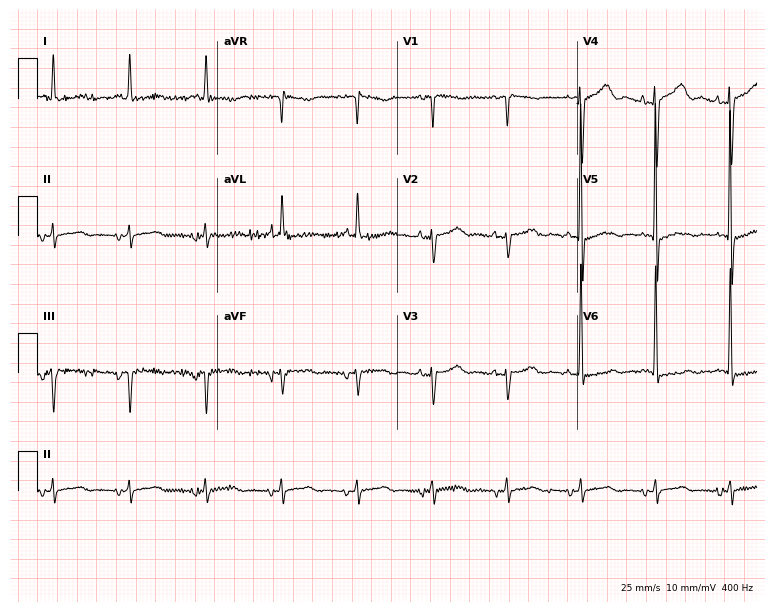
12-lead ECG from a 79-year-old female patient (7.3-second recording at 400 Hz). No first-degree AV block, right bundle branch block, left bundle branch block, sinus bradycardia, atrial fibrillation or sinus tachycardia recorded for this tracing. Only these six findings were labelled.